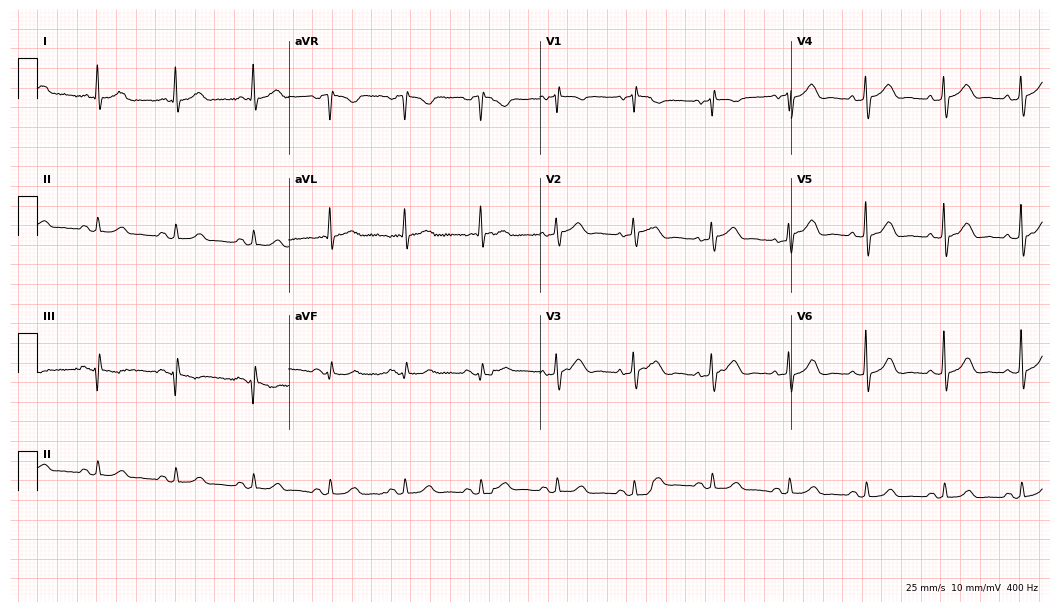
ECG (10.2-second recording at 400 Hz) — a woman, 78 years old. Labelled as a normal ECG.